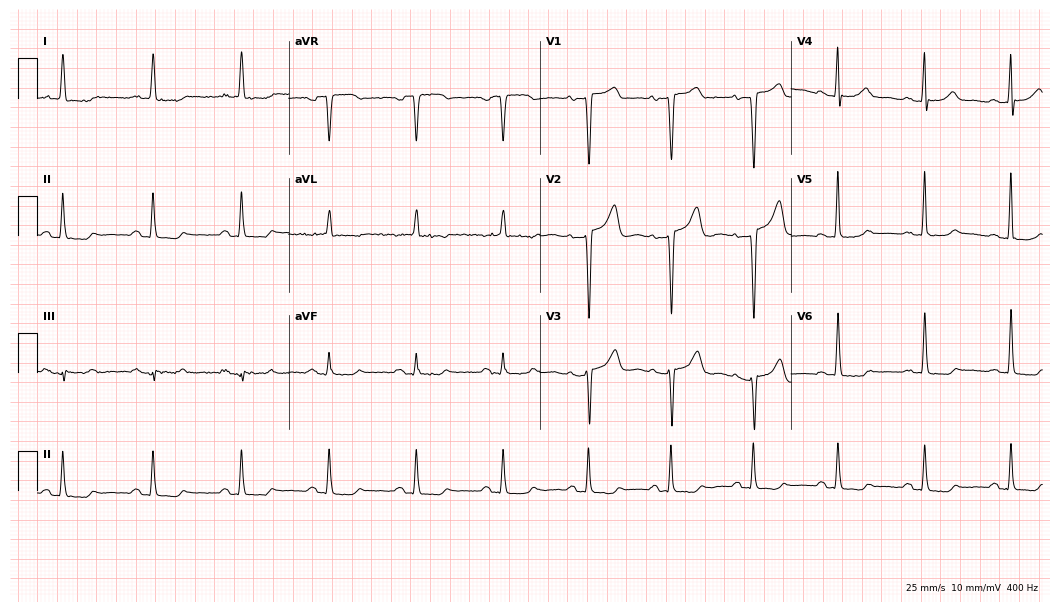
Resting 12-lead electrocardiogram. Patient: a woman, 56 years old. None of these six findings is recorded: first-degree AV block, right bundle branch block (RBBB), left bundle branch block (LBBB), sinus bradycardia, atrial fibrillation (AF), sinus tachycardia.